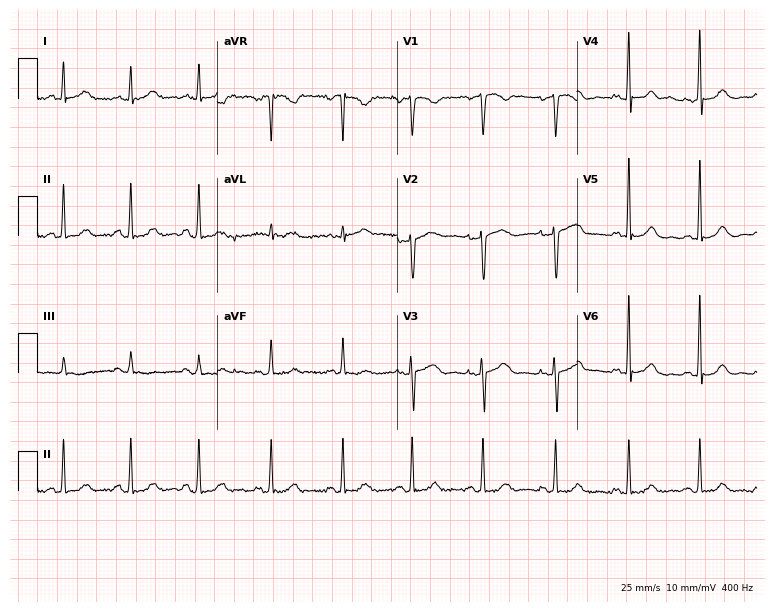
Electrocardiogram (7.3-second recording at 400 Hz), a female, 41 years old. Of the six screened findings (first-degree AV block, right bundle branch block, left bundle branch block, sinus bradycardia, atrial fibrillation, sinus tachycardia), none is recorded. Findings outside these six are not listed.